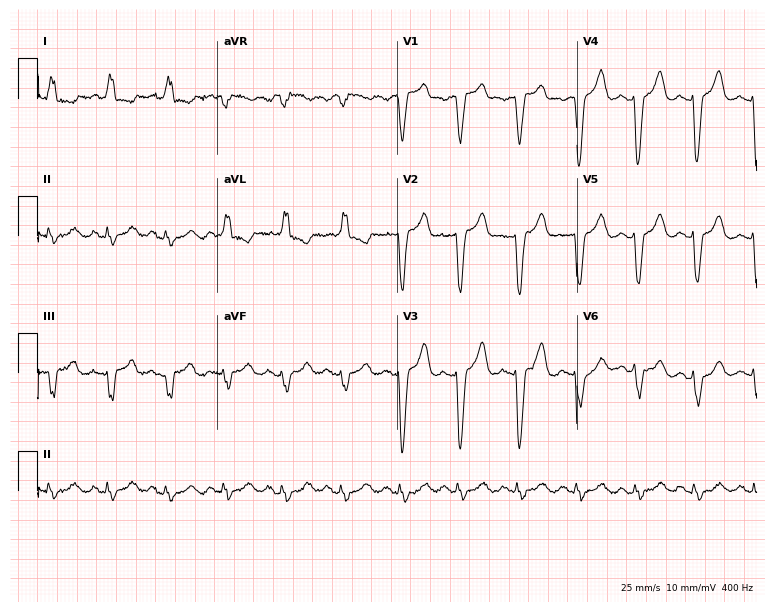
Electrocardiogram (7.3-second recording at 400 Hz), a 76-year-old female. Interpretation includes left bundle branch block.